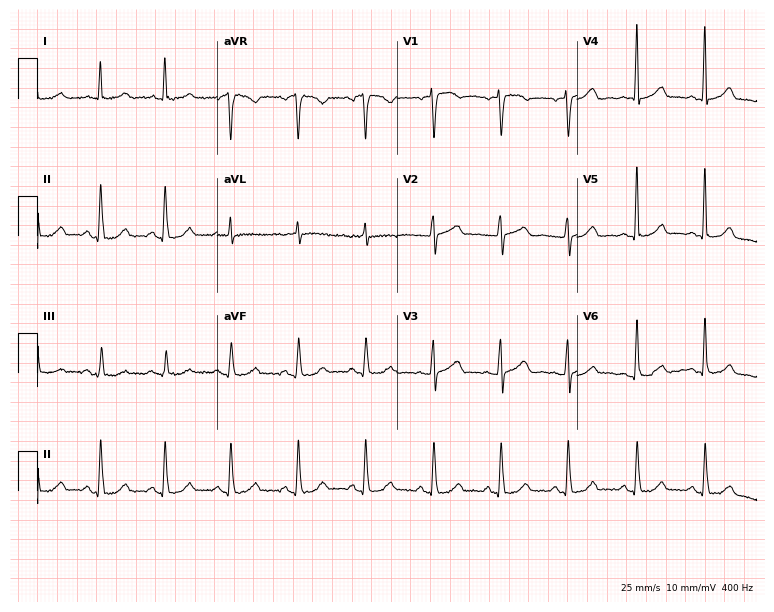
12-lead ECG from a female, 60 years old. Labelled as a normal ECG.